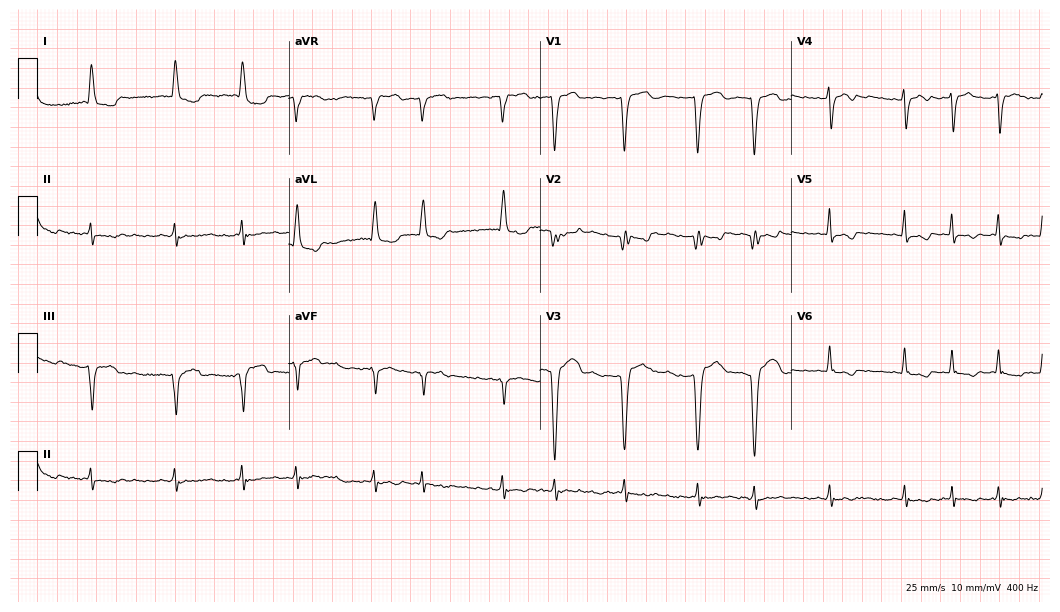
ECG — a female, 66 years old. Findings include atrial fibrillation.